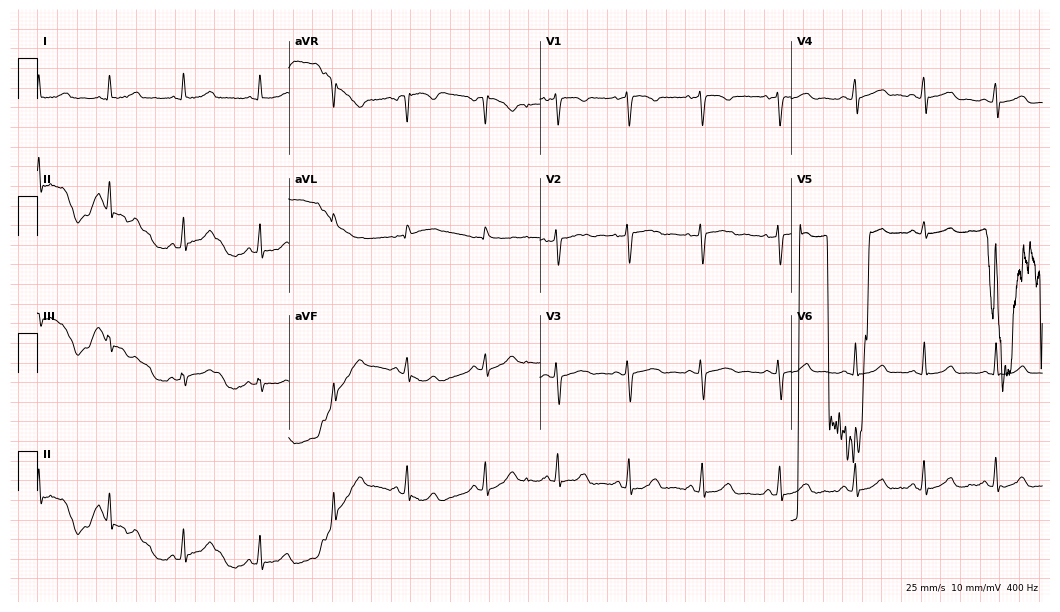
Standard 12-lead ECG recorded from a 19-year-old woman. Read as a normal ECG.